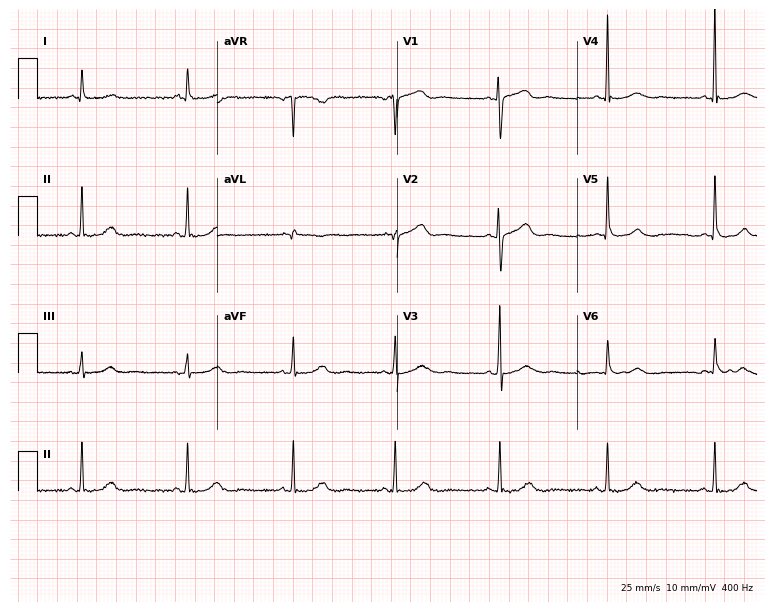
12-lead ECG from a 63-year-old female patient. Labelled as a normal ECG.